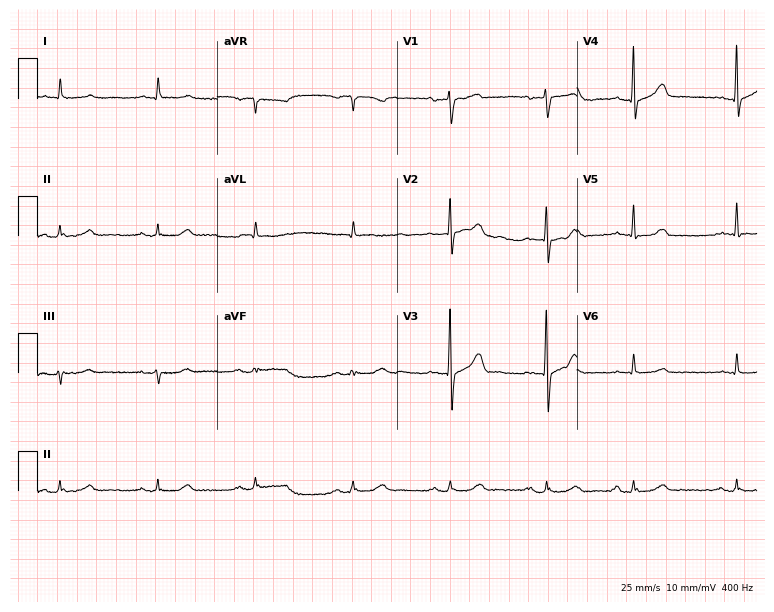
Resting 12-lead electrocardiogram (7.3-second recording at 400 Hz). Patient: a 78-year-old man. None of these six findings is recorded: first-degree AV block, right bundle branch block (RBBB), left bundle branch block (LBBB), sinus bradycardia, atrial fibrillation (AF), sinus tachycardia.